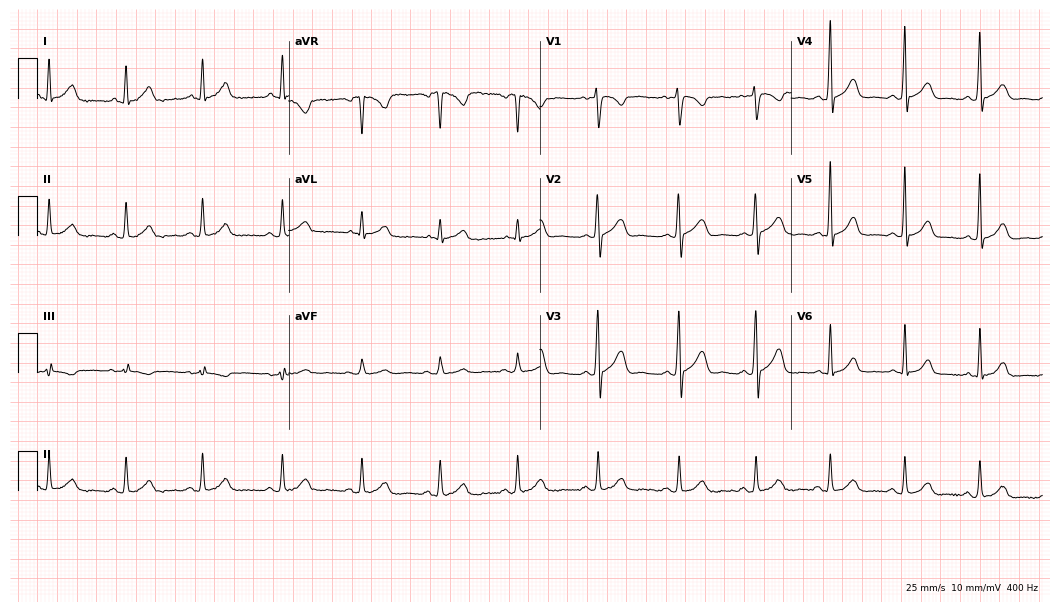
12-lead ECG from a 33-year-old female patient (10.2-second recording at 400 Hz). No first-degree AV block, right bundle branch block (RBBB), left bundle branch block (LBBB), sinus bradycardia, atrial fibrillation (AF) or sinus tachycardia recorded for this tracing.